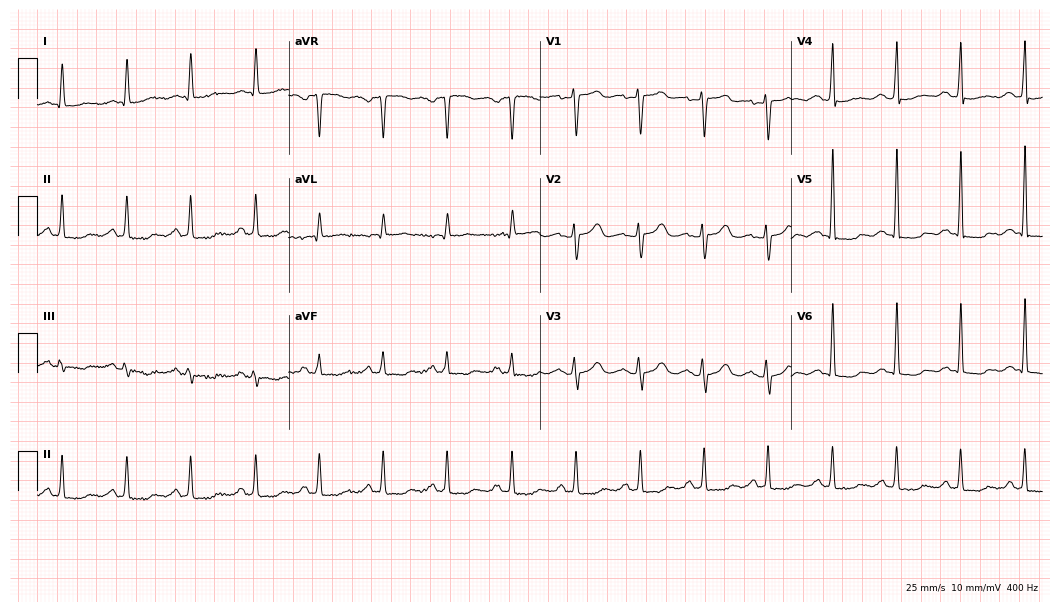
ECG — a woman, 68 years old. Screened for six findings — first-degree AV block, right bundle branch block (RBBB), left bundle branch block (LBBB), sinus bradycardia, atrial fibrillation (AF), sinus tachycardia — none is recorded. Other findings, if any, are not listed.